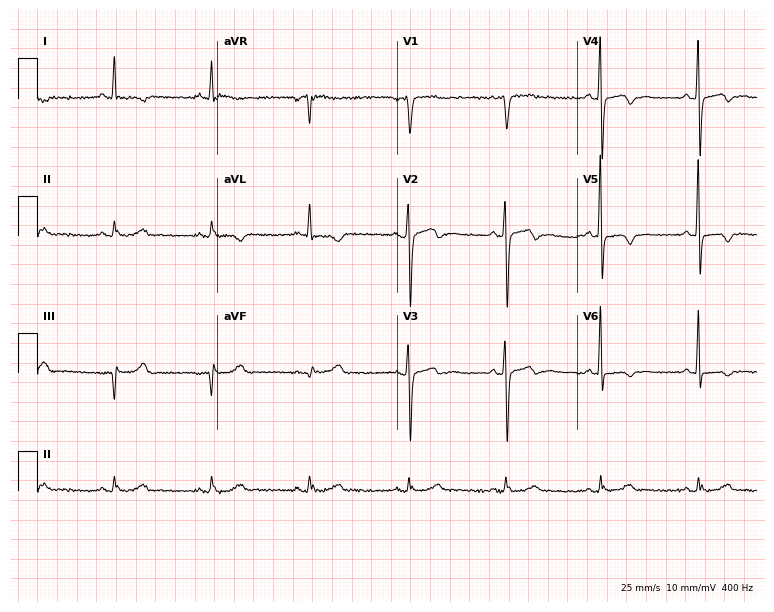
12-lead ECG from a man, 78 years old. Screened for six findings — first-degree AV block, right bundle branch block, left bundle branch block, sinus bradycardia, atrial fibrillation, sinus tachycardia — none is recorded.